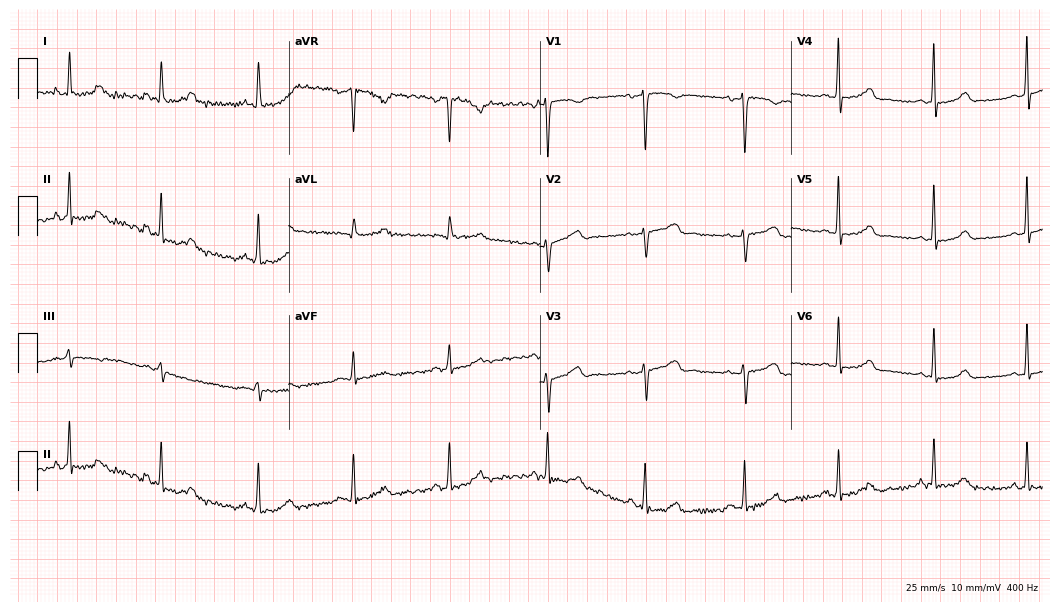
Standard 12-lead ECG recorded from a 39-year-old female patient. Read as a normal ECG.